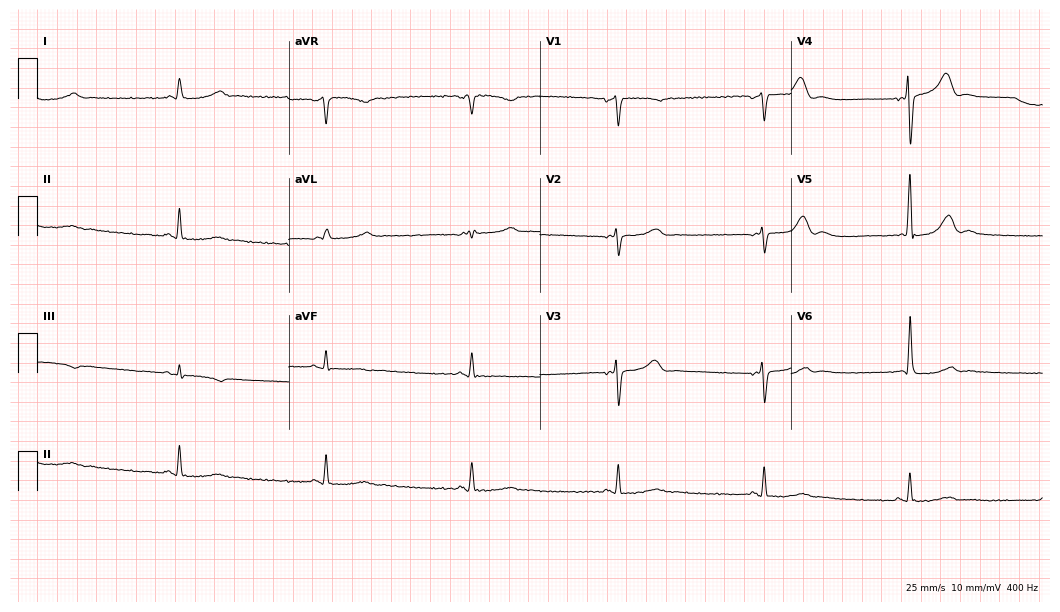
Standard 12-lead ECG recorded from a 75-year-old male. The tracing shows sinus bradycardia (a sinus rate of 50 beats per minute or less).